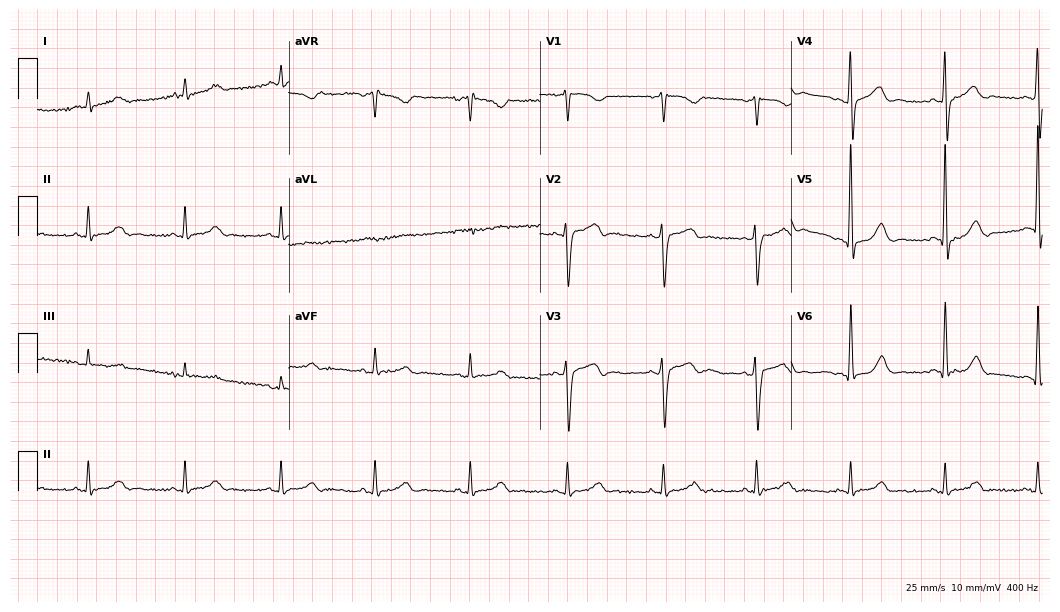
ECG (10.2-second recording at 400 Hz) — a man, 47 years old. Labelled as a normal ECG.